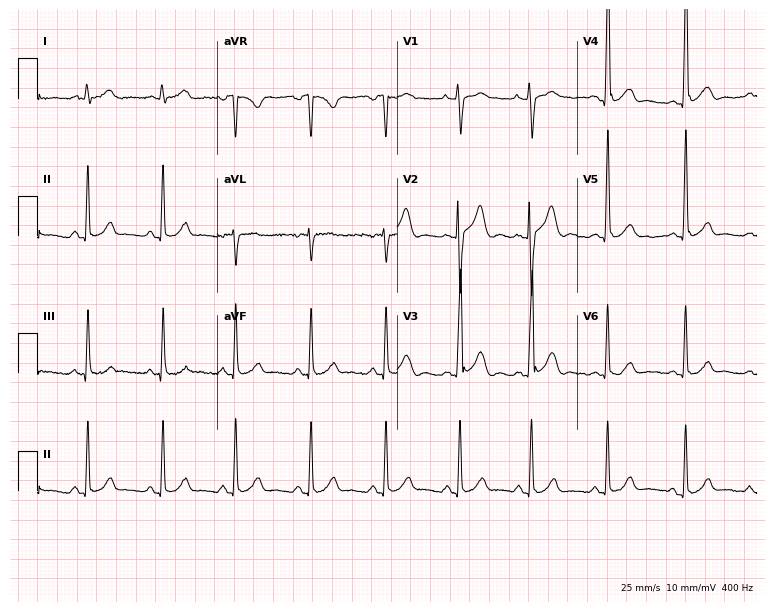
Resting 12-lead electrocardiogram. Patient: a 25-year-old male. Read as a normal ECG.